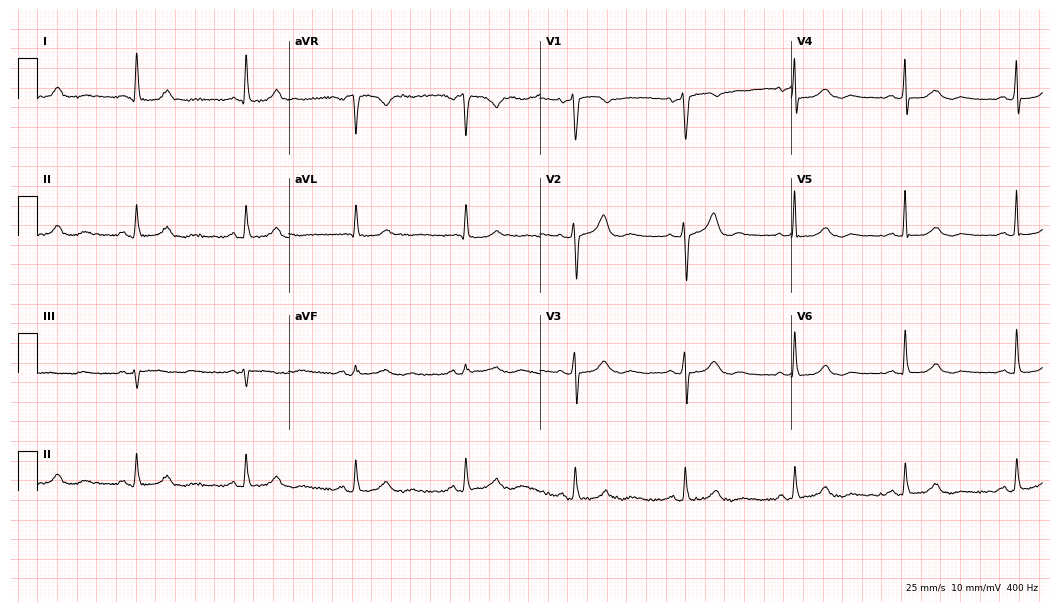
ECG — a 72-year-old female patient. Labelled as a normal ECG.